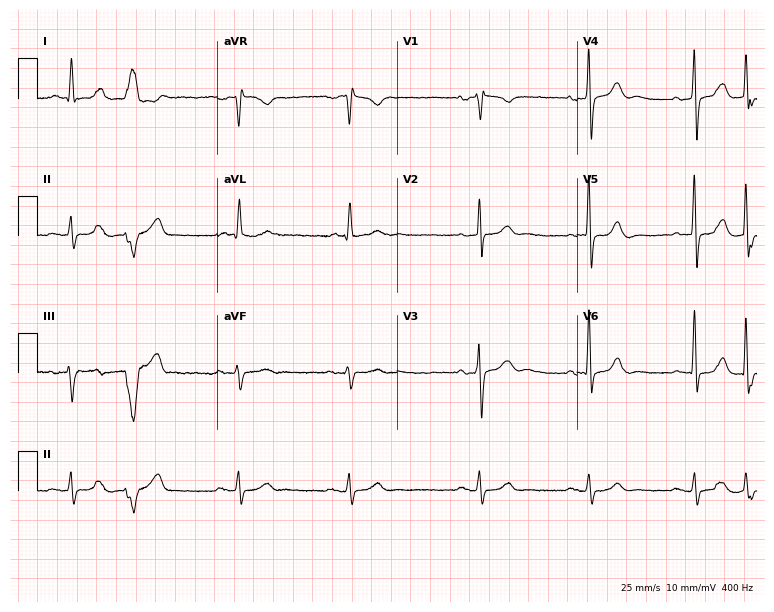
Standard 12-lead ECG recorded from a man, 72 years old (7.3-second recording at 400 Hz). None of these six findings is recorded: first-degree AV block, right bundle branch block (RBBB), left bundle branch block (LBBB), sinus bradycardia, atrial fibrillation (AF), sinus tachycardia.